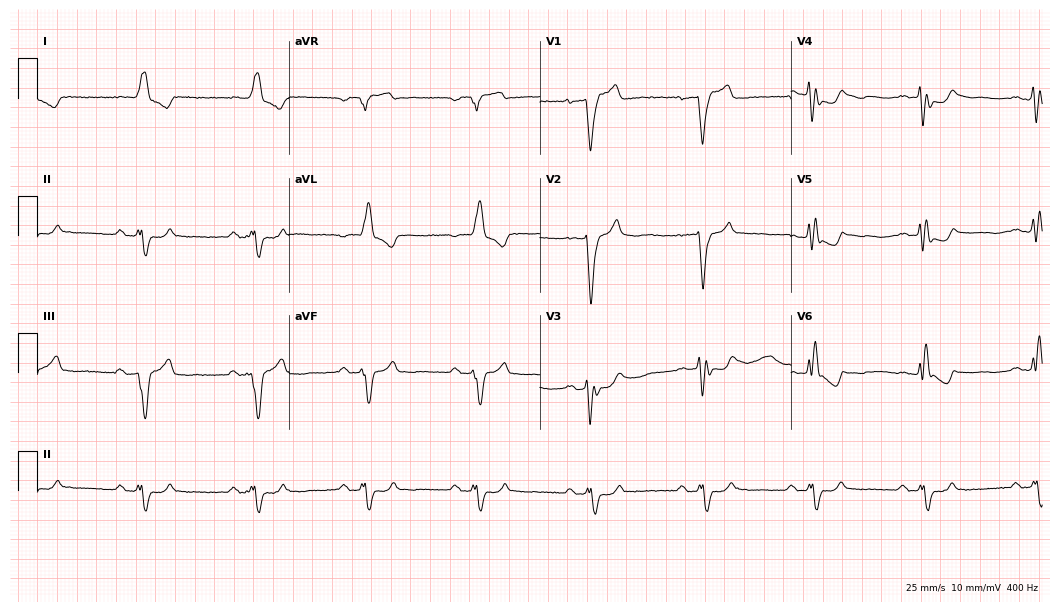
Standard 12-lead ECG recorded from a 72-year-old male patient. The tracing shows left bundle branch block.